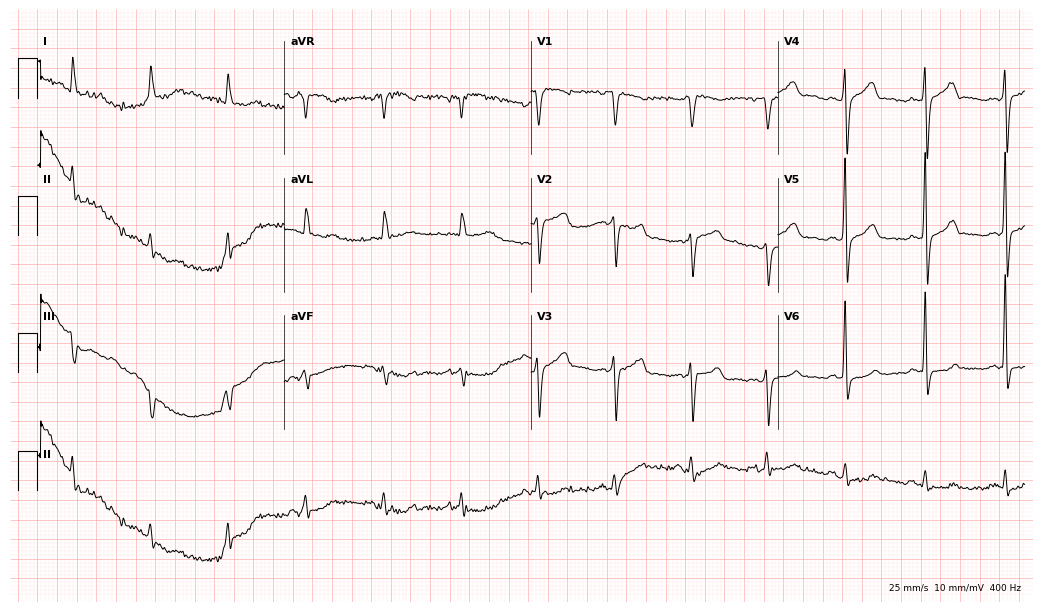
Resting 12-lead electrocardiogram (10.1-second recording at 400 Hz). Patient: a male, 36 years old. None of these six findings is recorded: first-degree AV block, right bundle branch block (RBBB), left bundle branch block (LBBB), sinus bradycardia, atrial fibrillation (AF), sinus tachycardia.